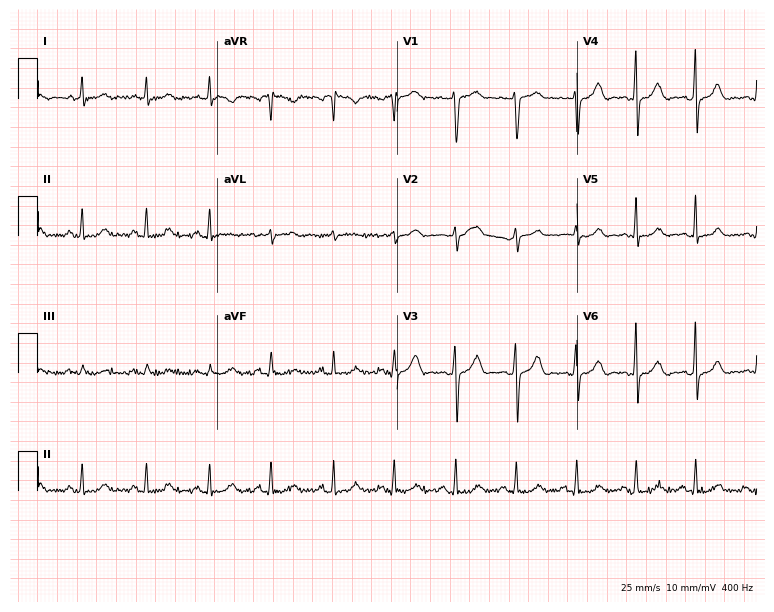
ECG (7.3-second recording at 400 Hz) — a 30-year-old woman. Labelled as a normal ECG.